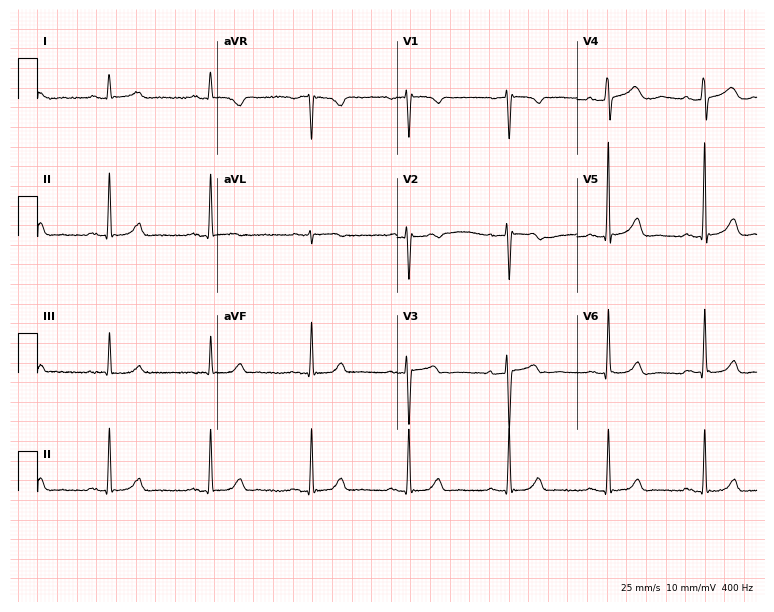
Standard 12-lead ECG recorded from a 61-year-old female (7.3-second recording at 400 Hz). None of these six findings is recorded: first-degree AV block, right bundle branch block, left bundle branch block, sinus bradycardia, atrial fibrillation, sinus tachycardia.